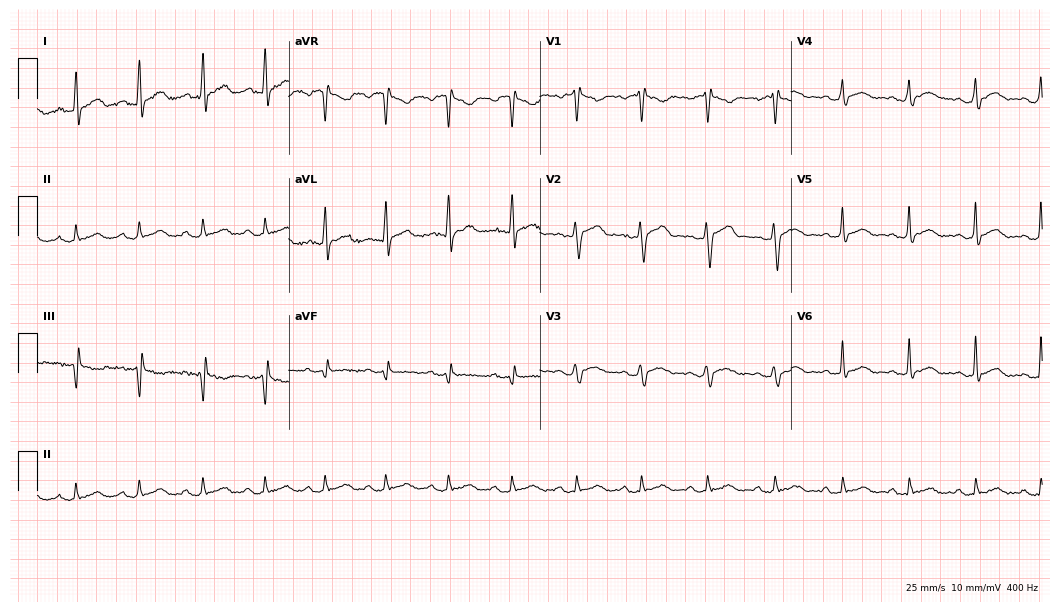
ECG — a 33-year-old male patient. Screened for six findings — first-degree AV block, right bundle branch block, left bundle branch block, sinus bradycardia, atrial fibrillation, sinus tachycardia — none is recorded. Findings outside these six are not listed.